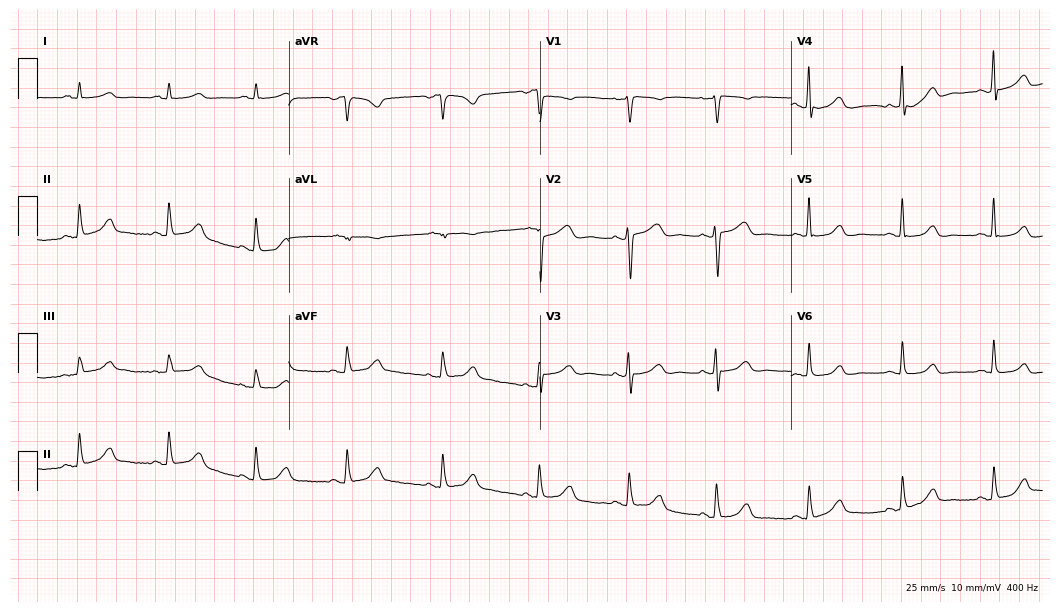
Standard 12-lead ECG recorded from a female, 46 years old (10.2-second recording at 400 Hz). Read as a normal ECG.